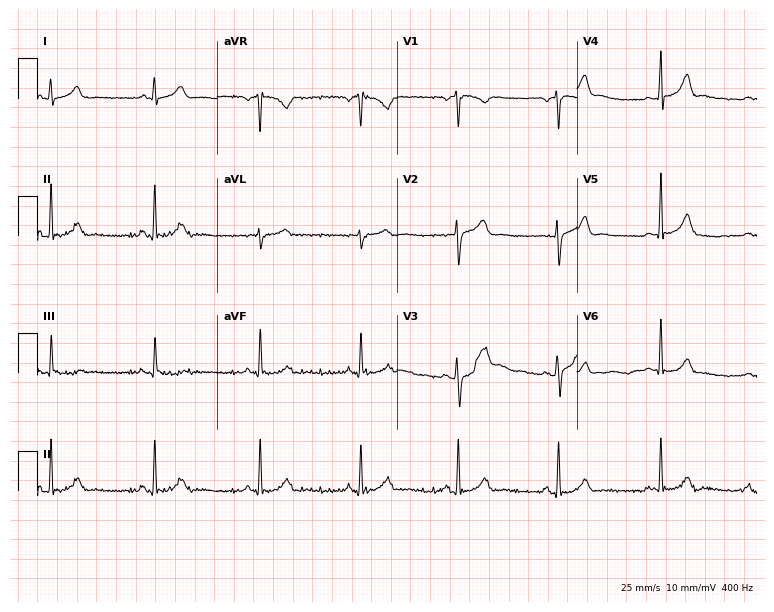
Electrocardiogram, a man, 40 years old. Overall reading on record: normal ECG.